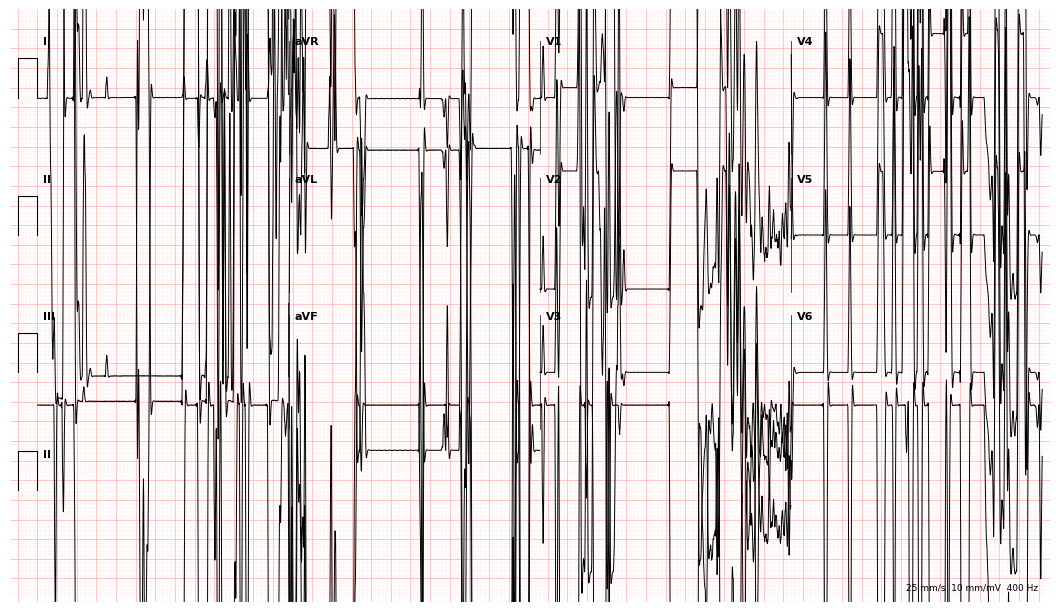
Resting 12-lead electrocardiogram (10.2-second recording at 400 Hz). Patient: a woman, 78 years old. None of these six findings is recorded: first-degree AV block, right bundle branch block, left bundle branch block, sinus bradycardia, atrial fibrillation, sinus tachycardia.